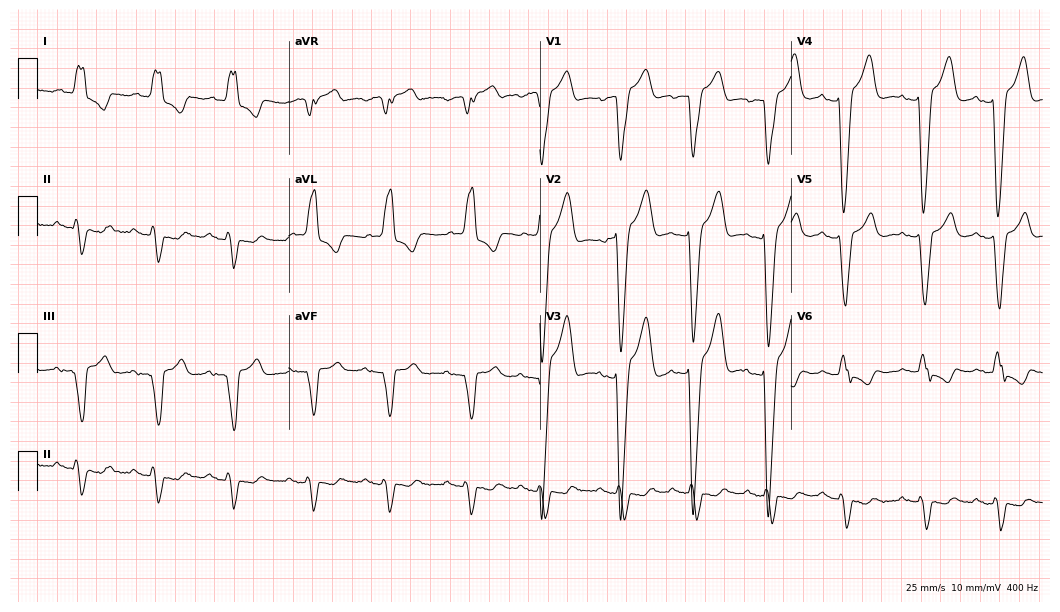
ECG (10.2-second recording at 400 Hz) — an 84-year-old man. Findings include left bundle branch block (LBBB).